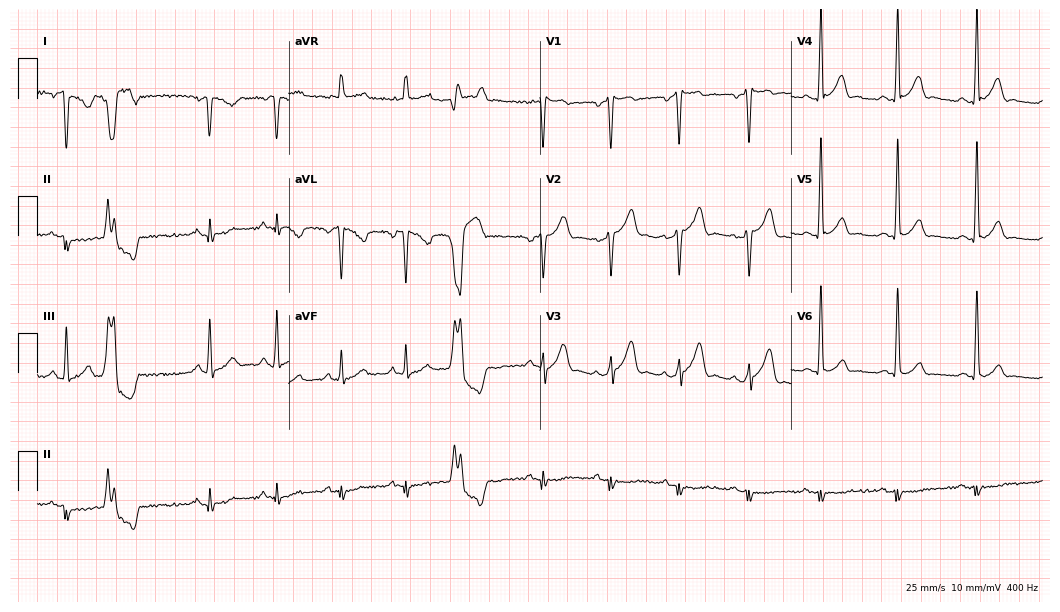
Standard 12-lead ECG recorded from a male, 36 years old. None of these six findings is recorded: first-degree AV block, right bundle branch block, left bundle branch block, sinus bradycardia, atrial fibrillation, sinus tachycardia. Other findings, if any, are not listed.